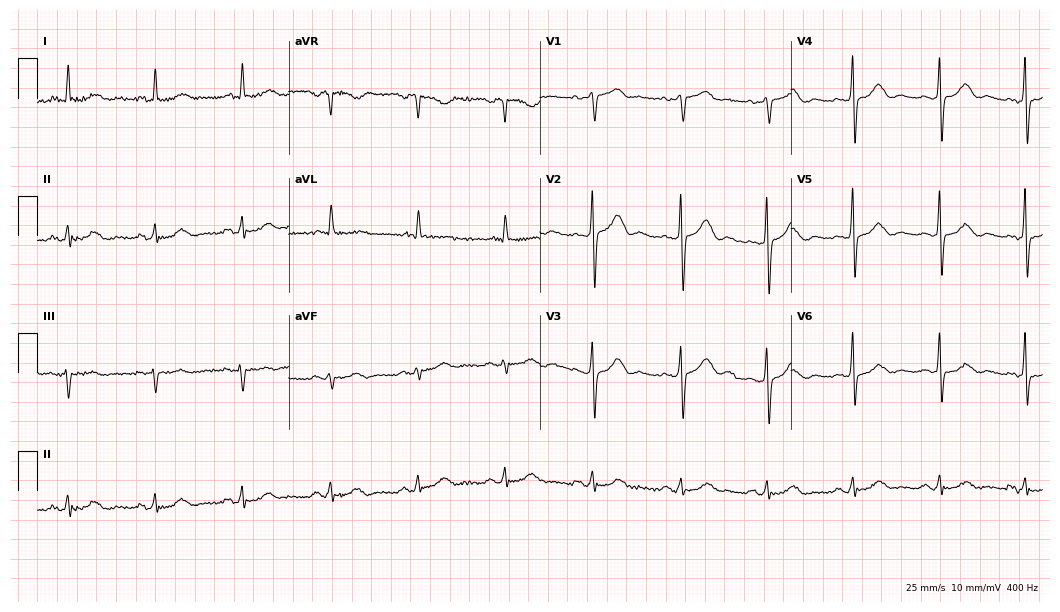
12-lead ECG from a female, 72 years old (10.2-second recording at 400 Hz). Recorded interpretation: within normal limits.